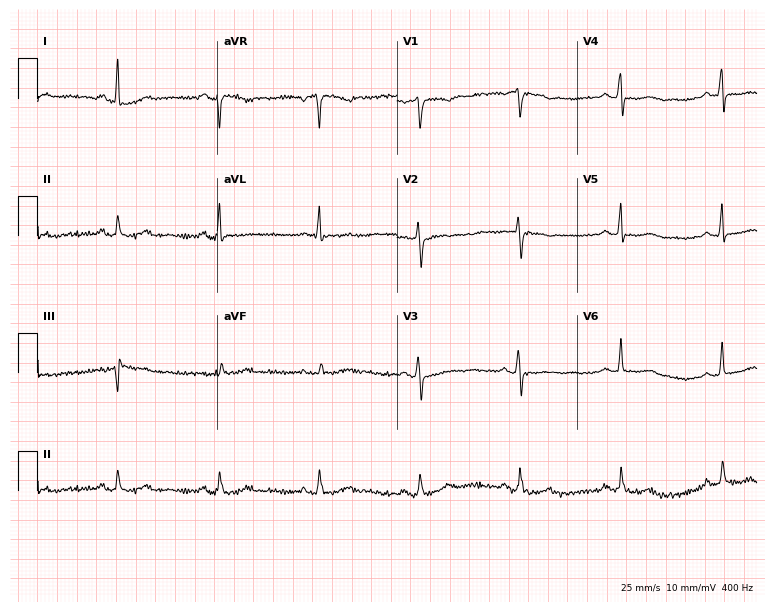
12-lead ECG from a 66-year-old female. No first-degree AV block, right bundle branch block, left bundle branch block, sinus bradycardia, atrial fibrillation or sinus tachycardia recorded for this tracing.